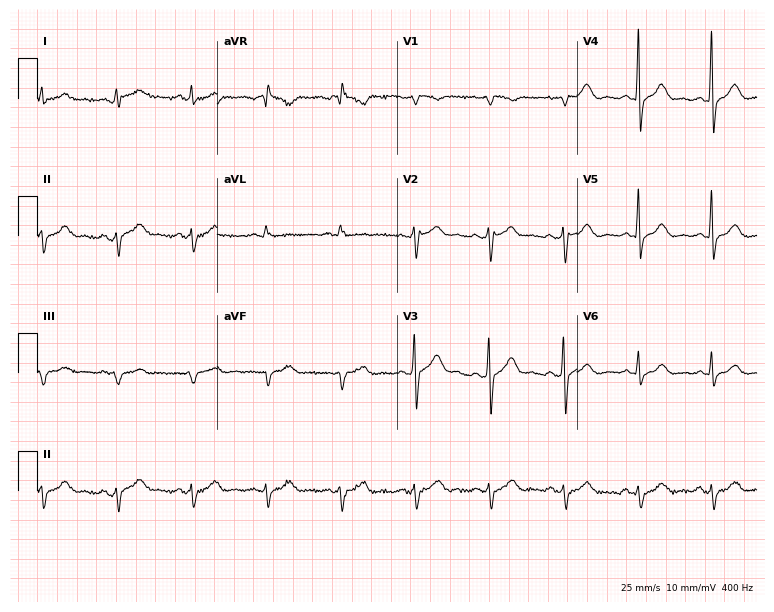
Resting 12-lead electrocardiogram (7.3-second recording at 400 Hz). Patient: a male, 45 years old. None of these six findings is recorded: first-degree AV block, right bundle branch block (RBBB), left bundle branch block (LBBB), sinus bradycardia, atrial fibrillation (AF), sinus tachycardia.